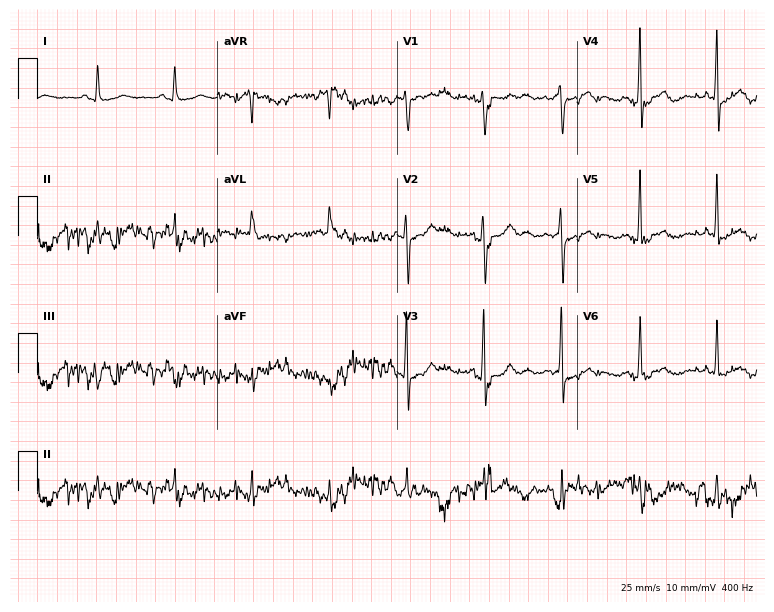
12-lead ECG from a woman, 70 years old (7.3-second recording at 400 Hz). No first-degree AV block, right bundle branch block, left bundle branch block, sinus bradycardia, atrial fibrillation or sinus tachycardia recorded for this tracing.